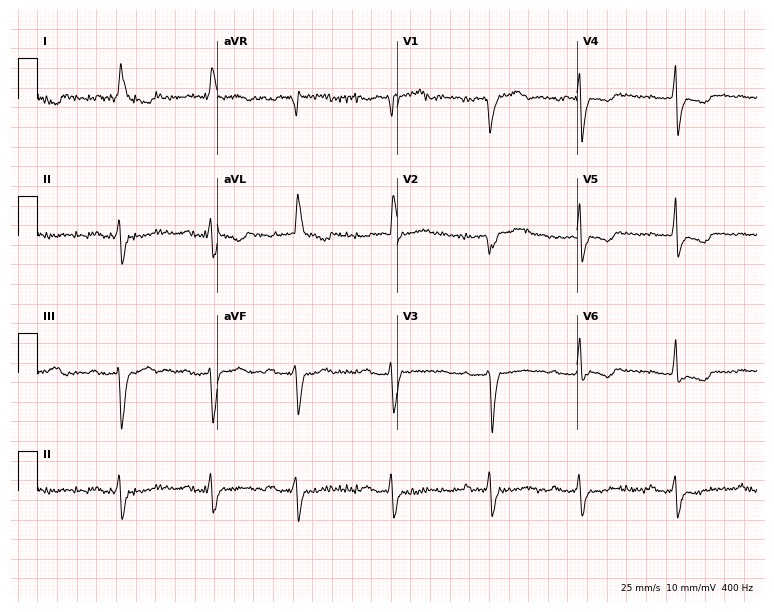
Standard 12-lead ECG recorded from a male patient, 73 years old. None of these six findings is recorded: first-degree AV block, right bundle branch block (RBBB), left bundle branch block (LBBB), sinus bradycardia, atrial fibrillation (AF), sinus tachycardia. Other findings, if any, are not listed.